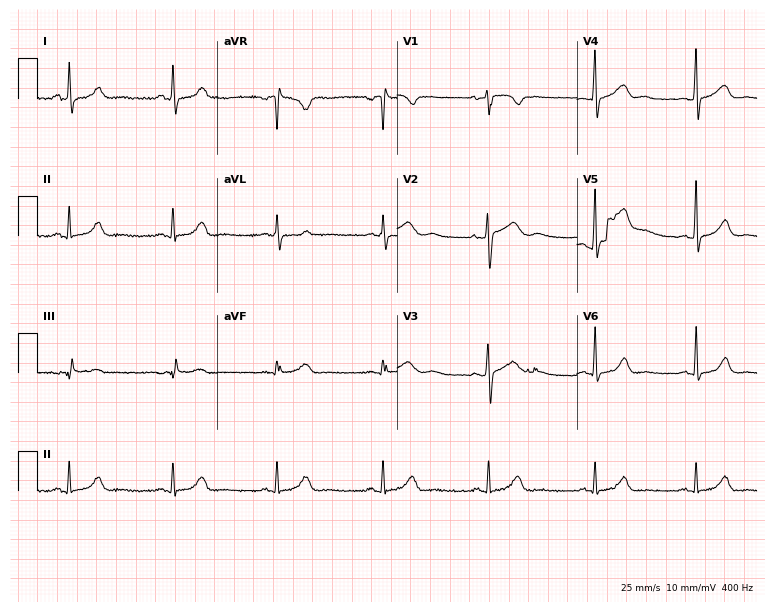
Resting 12-lead electrocardiogram. Patient: a woman, 32 years old. Read as a normal ECG.